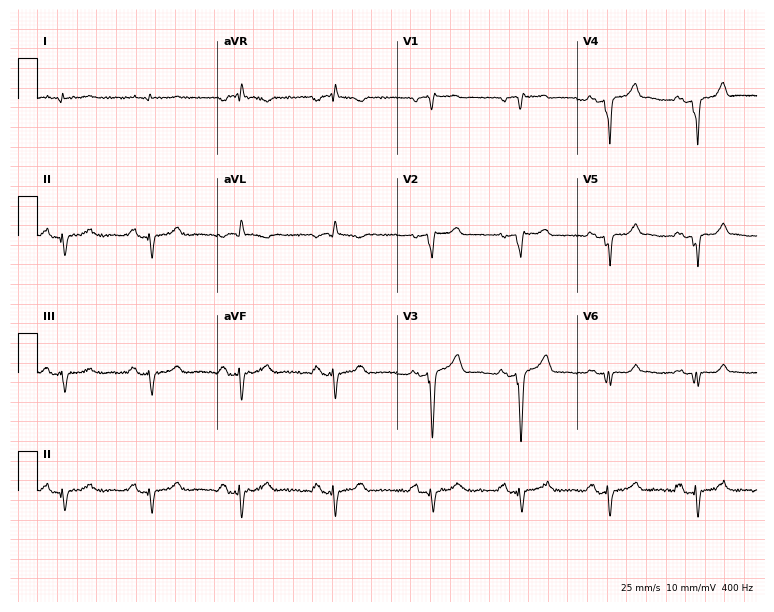
12-lead ECG from a man, 61 years old. Screened for six findings — first-degree AV block, right bundle branch block (RBBB), left bundle branch block (LBBB), sinus bradycardia, atrial fibrillation (AF), sinus tachycardia — none is recorded.